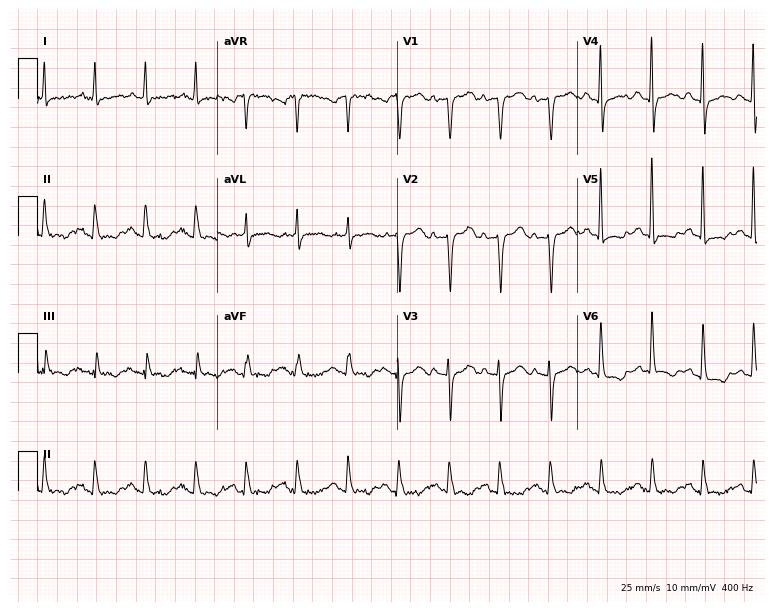
12-lead ECG from an 84-year-old woman (7.3-second recording at 400 Hz). Shows sinus tachycardia (a sinus rate of 100 beats per minute or more).